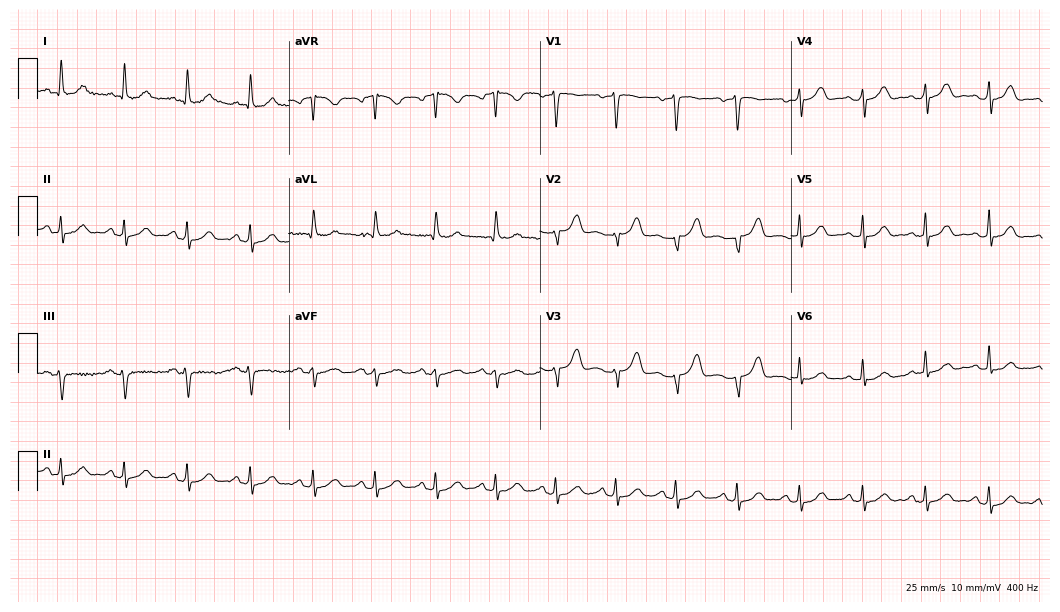
12-lead ECG from a 53-year-old woman. Screened for six findings — first-degree AV block, right bundle branch block, left bundle branch block, sinus bradycardia, atrial fibrillation, sinus tachycardia — none is recorded.